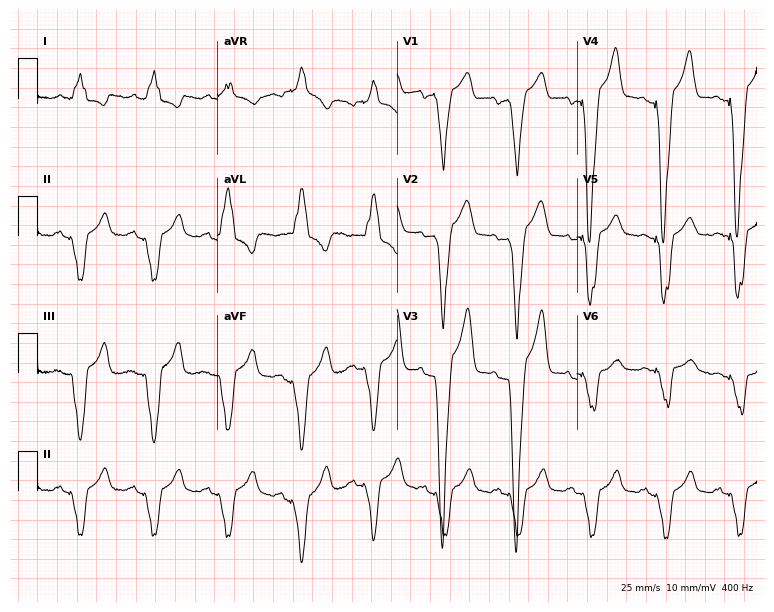
12-lead ECG from a female, 72 years old (7.3-second recording at 400 Hz). No first-degree AV block, right bundle branch block (RBBB), left bundle branch block (LBBB), sinus bradycardia, atrial fibrillation (AF) or sinus tachycardia recorded for this tracing.